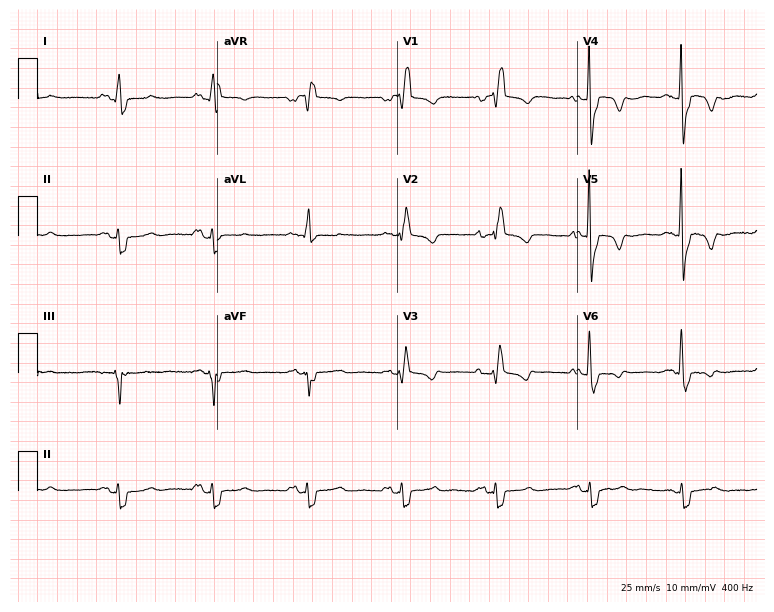
Standard 12-lead ECG recorded from a 72-year-old woman. The tracing shows right bundle branch block.